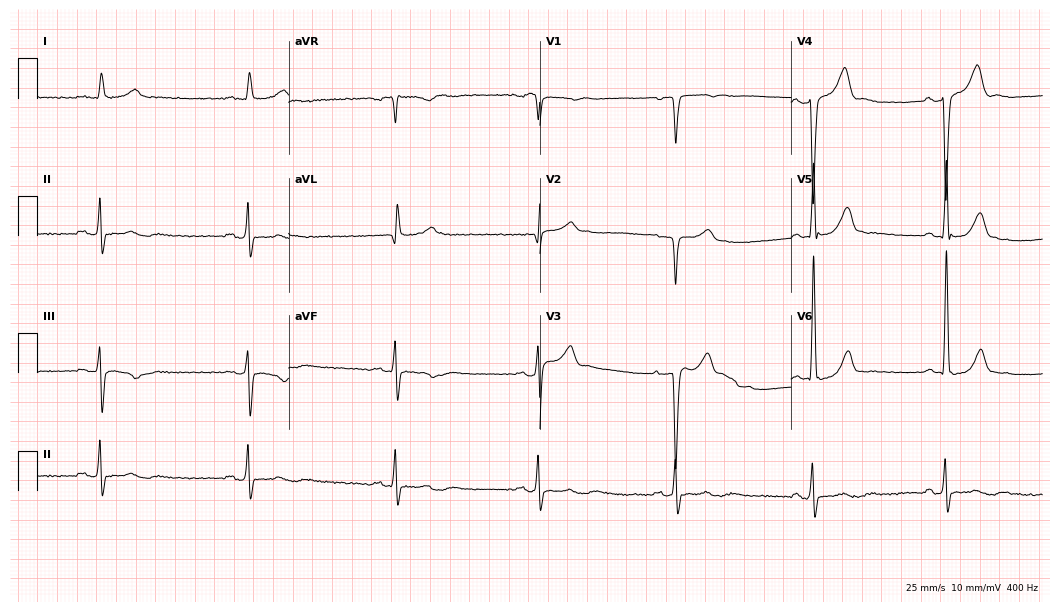
12-lead ECG from a 64-year-old male (10.2-second recording at 400 Hz). Shows sinus bradycardia (a sinus rate of 50 beats per minute or less).